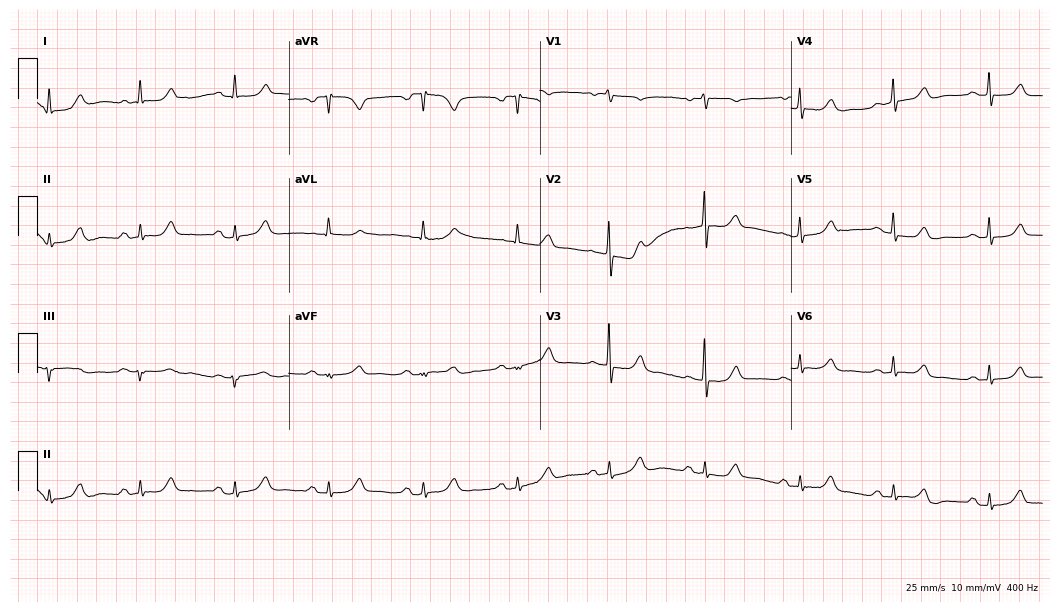
Electrocardiogram (10.2-second recording at 400 Hz), a 79-year-old woman. Overall reading on record: normal ECG.